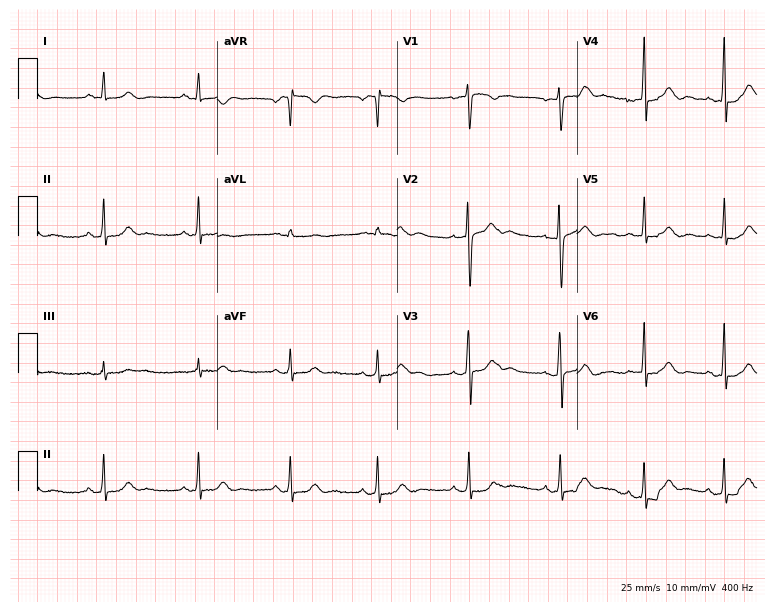
ECG (7.3-second recording at 400 Hz) — a 23-year-old female patient. Labelled as a normal ECG.